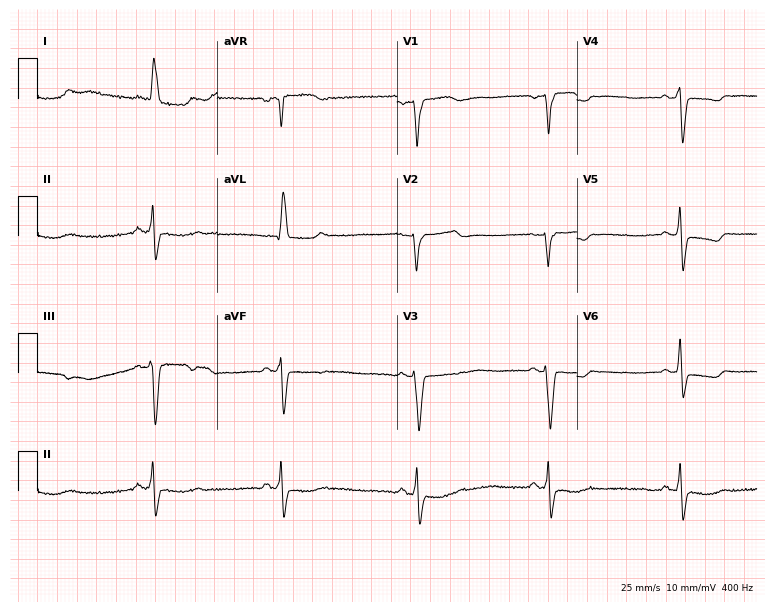
12-lead ECG from a 74-year-old female. Findings include left bundle branch block, sinus bradycardia (a sinus rate of 50 beats per minute or less).